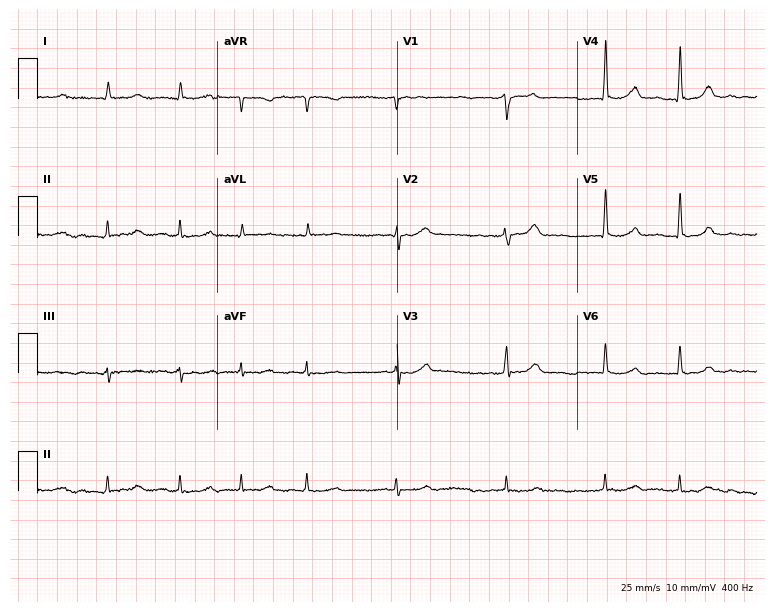
12-lead ECG (7.3-second recording at 400 Hz) from a male patient, 71 years old. Findings include atrial fibrillation.